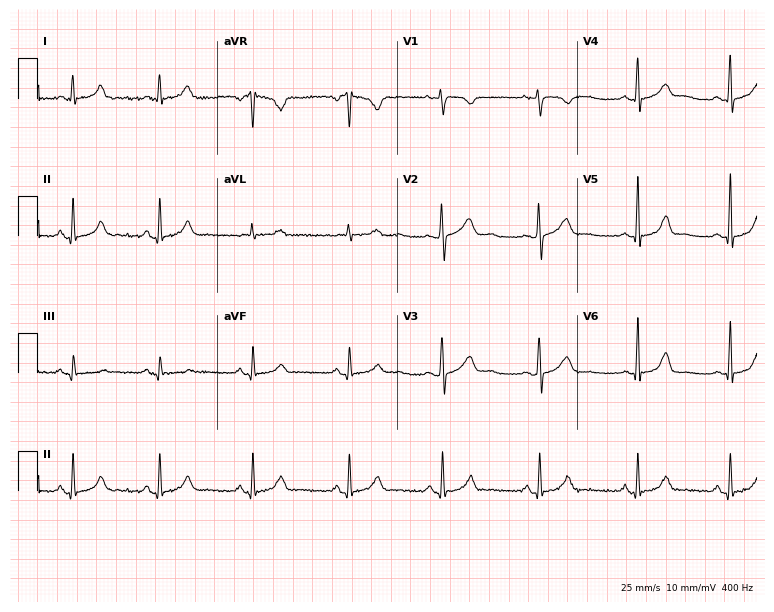
Electrocardiogram, a female, 40 years old. Overall reading on record: normal ECG.